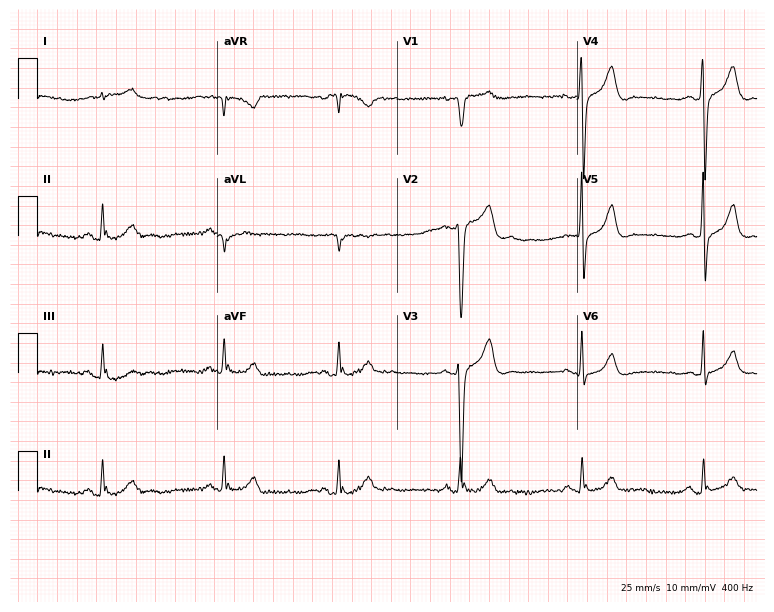
Resting 12-lead electrocardiogram. Patient: a 71-year-old male. Read as a normal ECG.